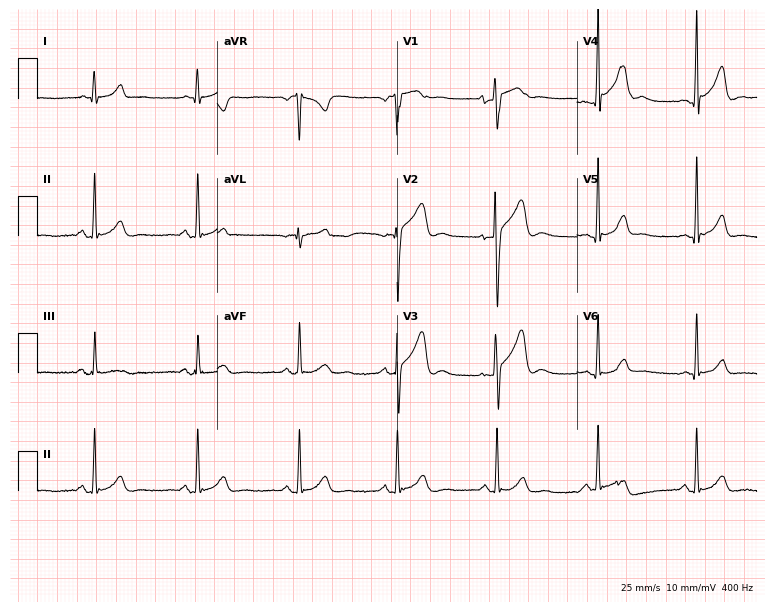
12-lead ECG from an 18-year-old male patient. Recorded interpretation: within normal limits.